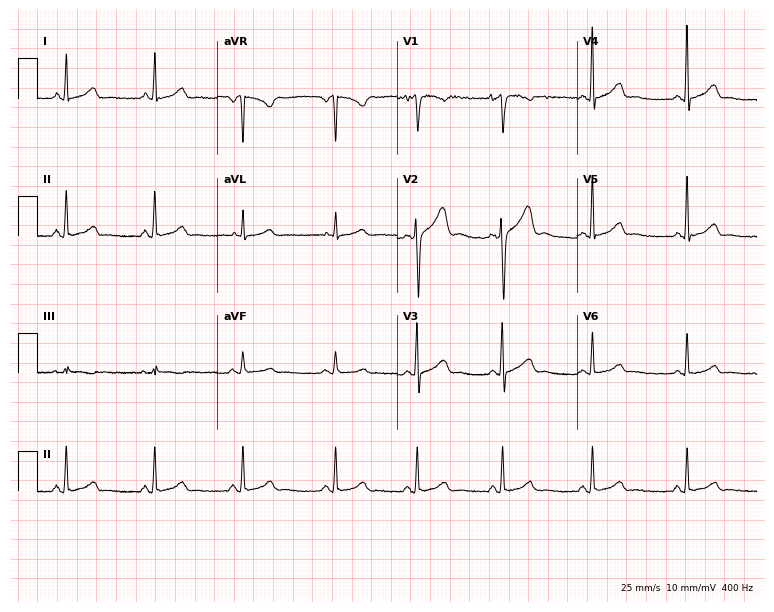
Resting 12-lead electrocardiogram (7.3-second recording at 400 Hz). Patient: a 25-year-old woman. Read as a normal ECG.